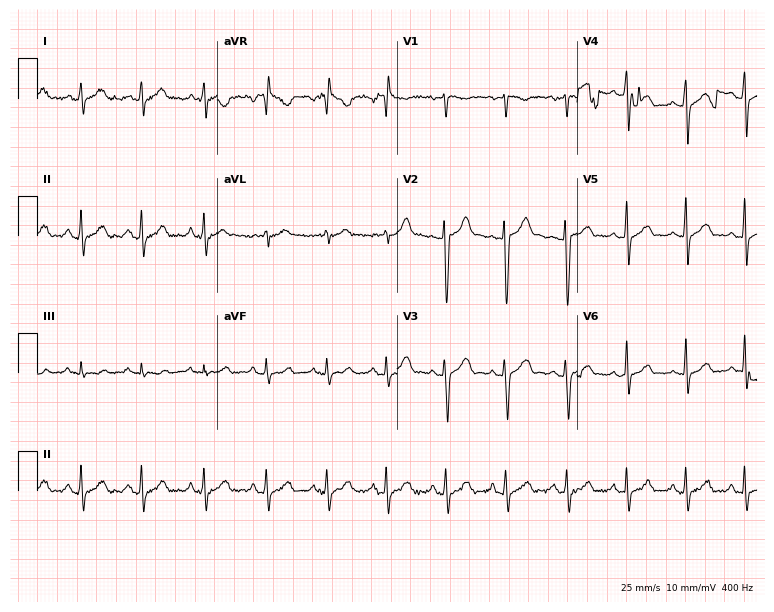
ECG — a 33-year-old male. Screened for six findings — first-degree AV block, right bundle branch block, left bundle branch block, sinus bradycardia, atrial fibrillation, sinus tachycardia — none is recorded.